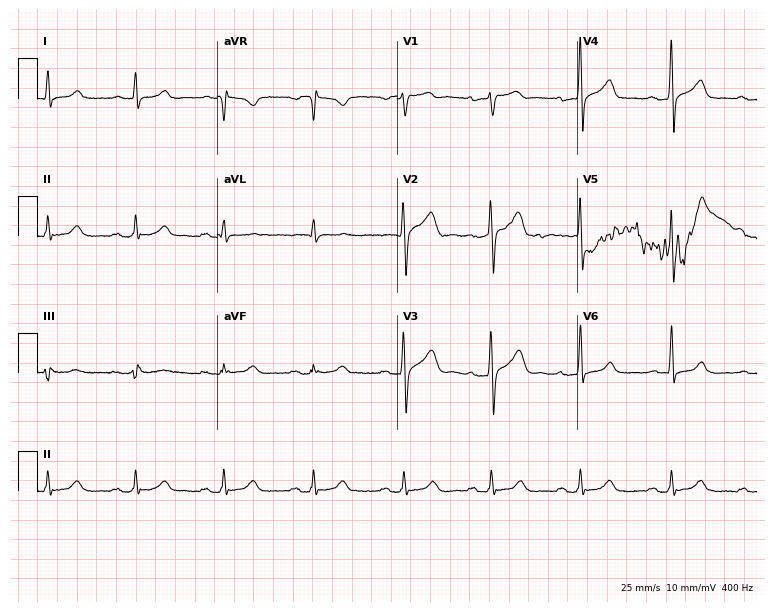
12-lead ECG from a 71-year-old man. Shows first-degree AV block.